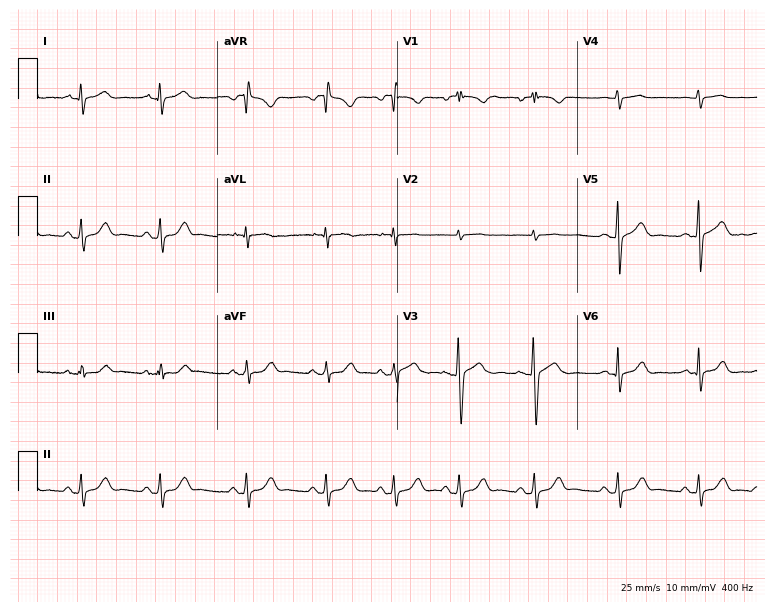
Electrocardiogram, a 19-year-old female patient. Overall reading on record: normal ECG.